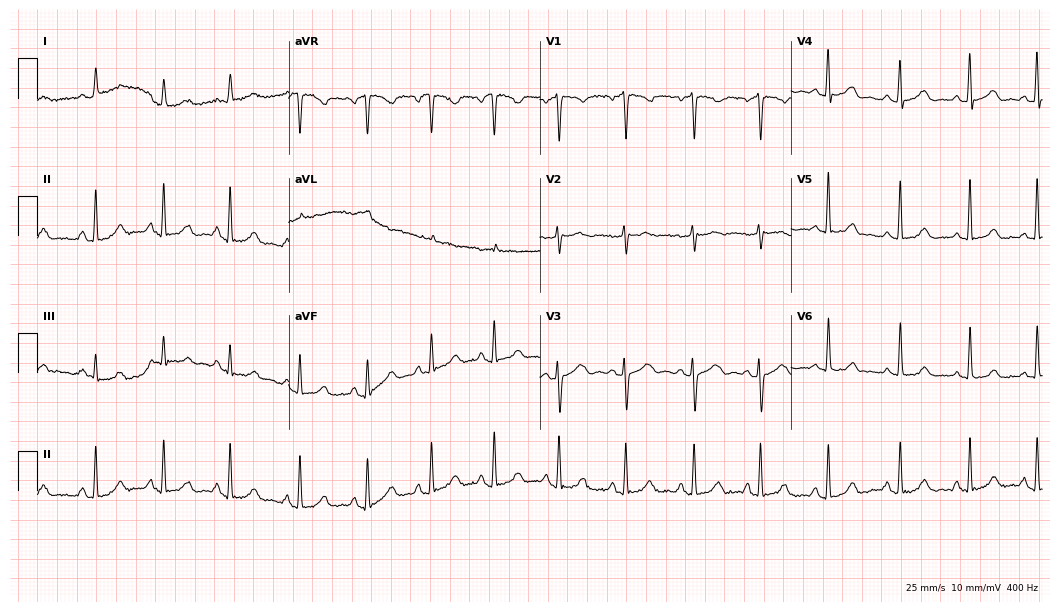
12-lead ECG (10.2-second recording at 400 Hz) from a 39-year-old female. Labelled as a normal ECG.